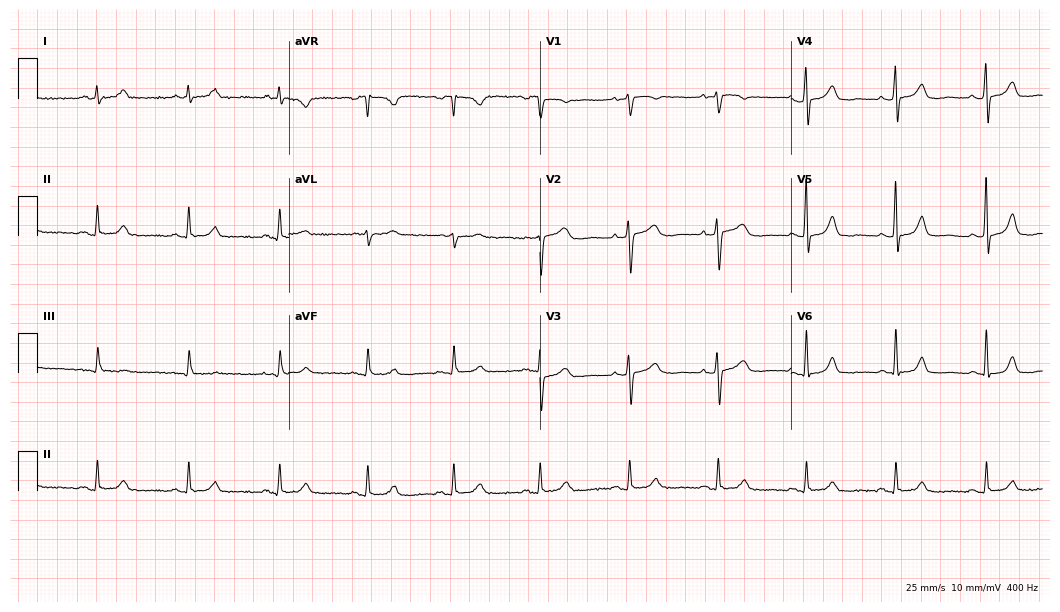
ECG (10.2-second recording at 400 Hz) — a 58-year-old female. Screened for six findings — first-degree AV block, right bundle branch block, left bundle branch block, sinus bradycardia, atrial fibrillation, sinus tachycardia — none is recorded. Only these six findings were labelled.